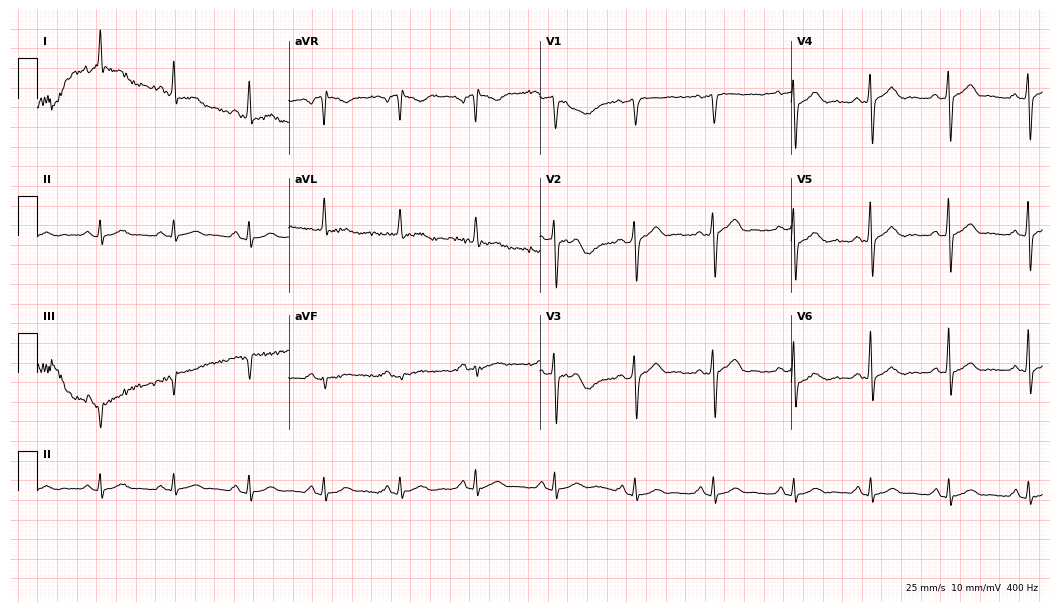
12-lead ECG from a male, 52 years old. Labelled as a normal ECG.